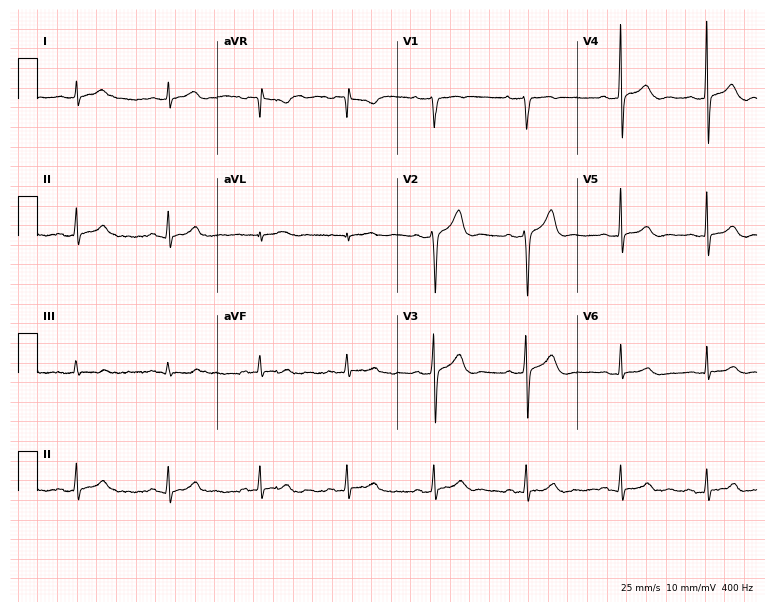
12-lead ECG (7.3-second recording at 400 Hz) from a 34-year-old woman. Screened for six findings — first-degree AV block, right bundle branch block, left bundle branch block, sinus bradycardia, atrial fibrillation, sinus tachycardia — none is recorded.